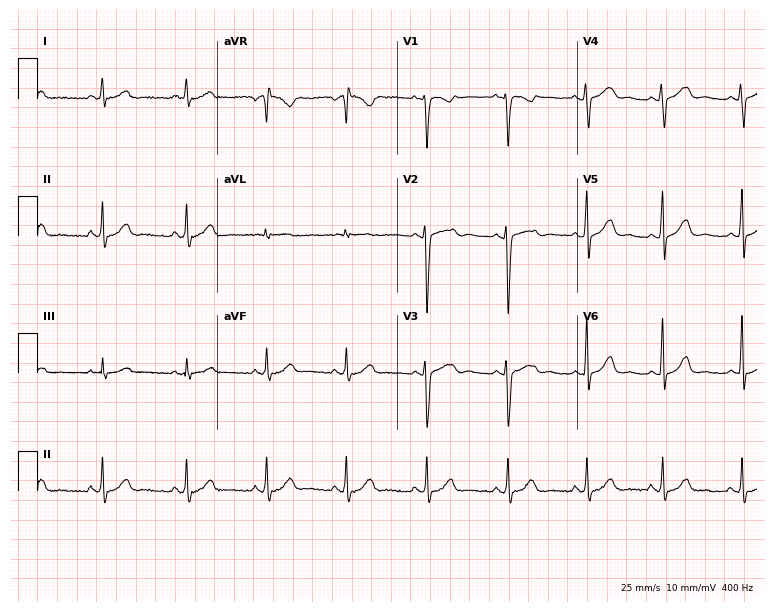
Resting 12-lead electrocardiogram (7.3-second recording at 400 Hz). Patient: a female, 41 years old. Read as a normal ECG.